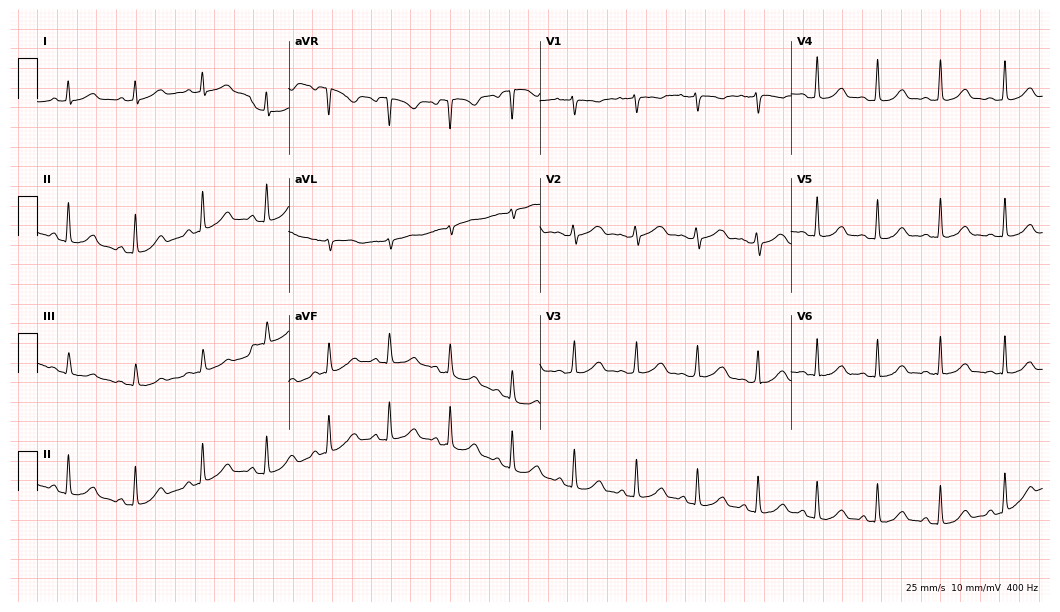
Resting 12-lead electrocardiogram (10.2-second recording at 400 Hz). Patient: a female, 26 years old. Read as a normal ECG.